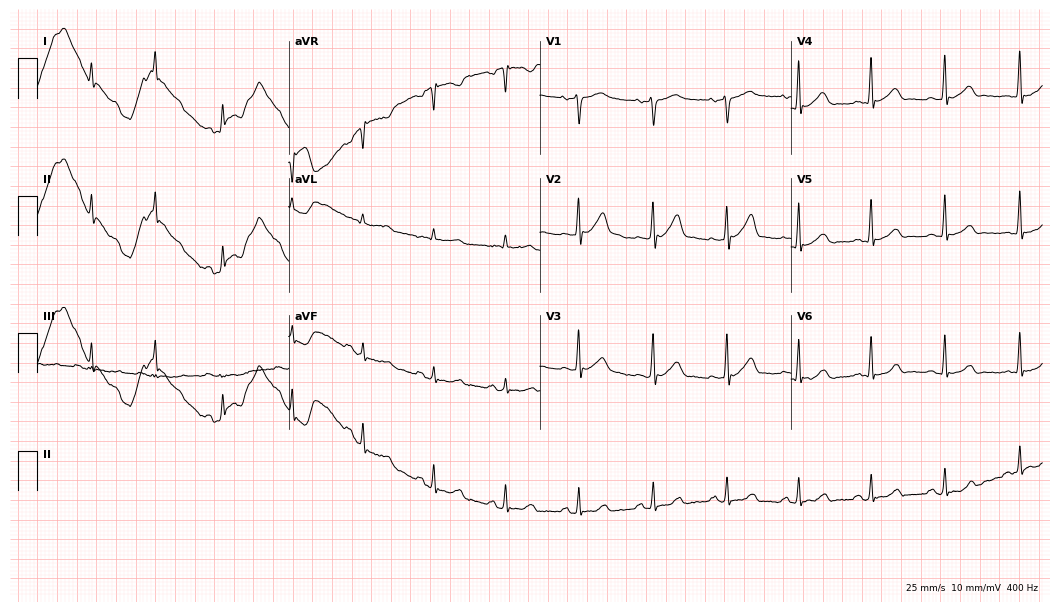
Standard 12-lead ECG recorded from a 57-year-old male patient. None of these six findings is recorded: first-degree AV block, right bundle branch block (RBBB), left bundle branch block (LBBB), sinus bradycardia, atrial fibrillation (AF), sinus tachycardia. Only these six findings were labelled.